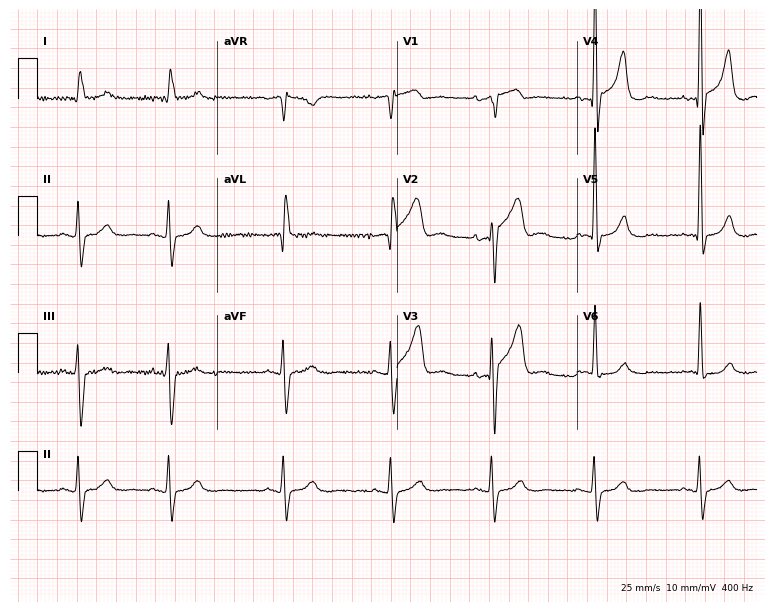
12-lead ECG from a man, 82 years old. No first-degree AV block, right bundle branch block, left bundle branch block, sinus bradycardia, atrial fibrillation or sinus tachycardia recorded for this tracing. Only these six findings were labelled.